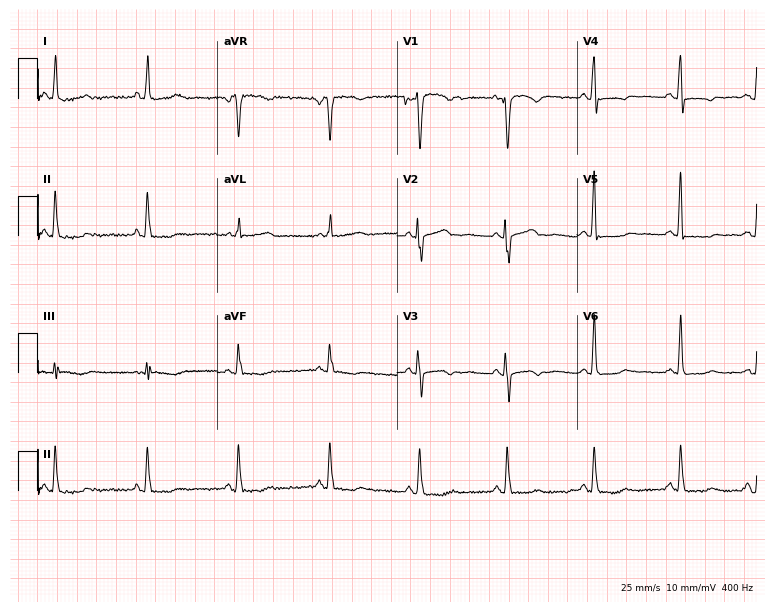
Standard 12-lead ECG recorded from a woman, 65 years old (7.3-second recording at 400 Hz). None of these six findings is recorded: first-degree AV block, right bundle branch block, left bundle branch block, sinus bradycardia, atrial fibrillation, sinus tachycardia.